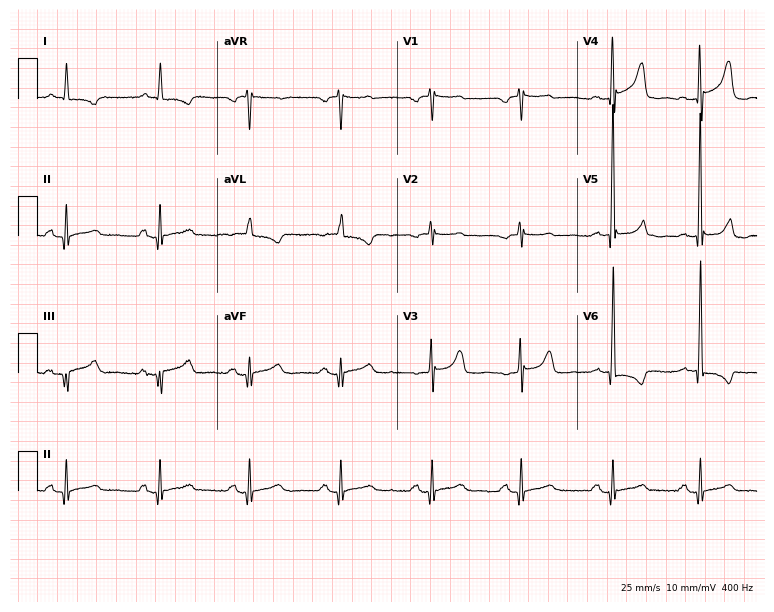
Resting 12-lead electrocardiogram (7.3-second recording at 400 Hz). Patient: a man, 68 years old. None of these six findings is recorded: first-degree AV block, right bundle branch block, left bundle branch block, sinus bradycardia, atrial fibrillation, sinus tachycardia. Only these six findings were labelled.